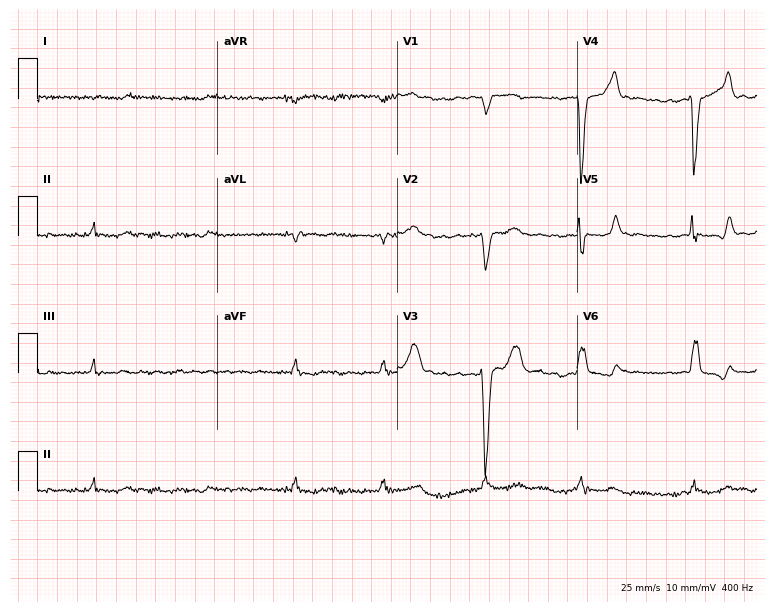
12-lead ECG from a male patient, 84 years old (7.3-second recording at 400 Hz). Shows left bundle branch block, atrial fibrillation.